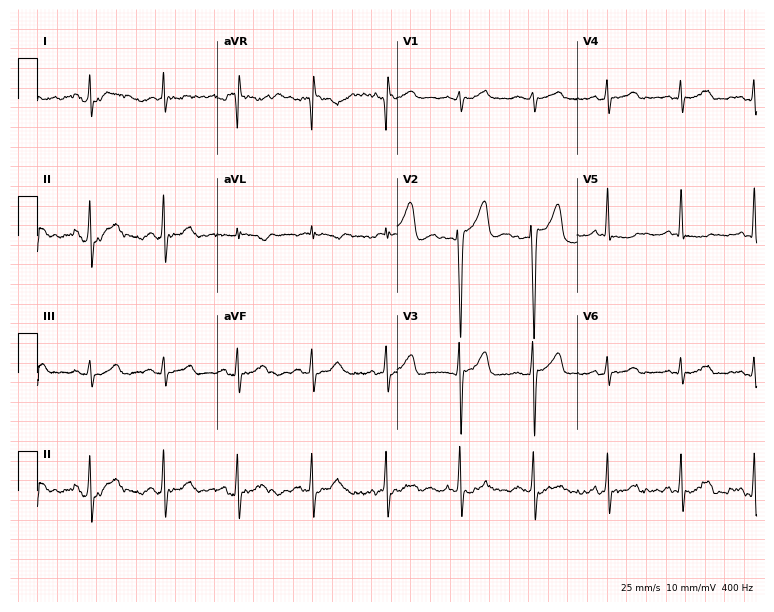
Resting 12-lead electrocardiogram (7.3-second recording at 400 Hz). Patient: a 49-year-old male. Read as a normal ECG.